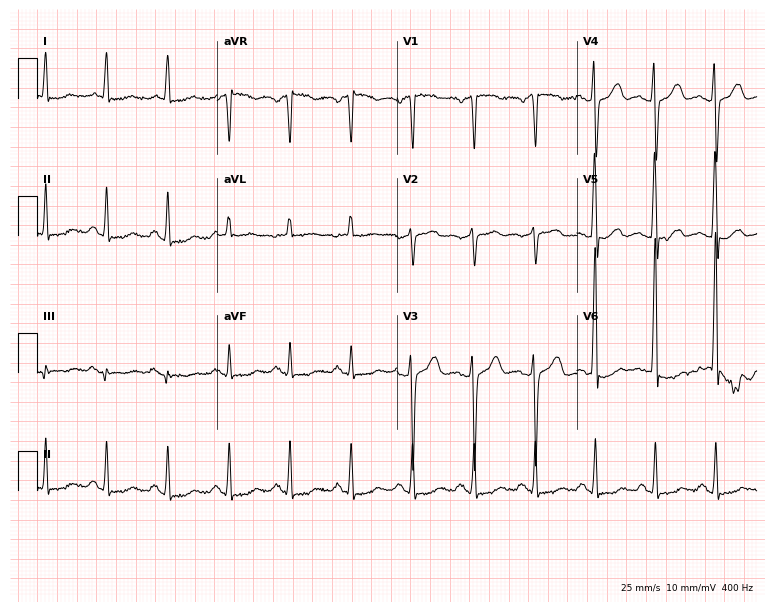
Electrocardiogram, a 63-year-old male patient. Of the six screened findings (first-degree AV block, right bundle branch block (RBBB), left bundle branch block (LBBB), sinus bradycardia, atrial fibrillation (AF), sinus tachycardia), none is recorded. Only these six findings were labelled.